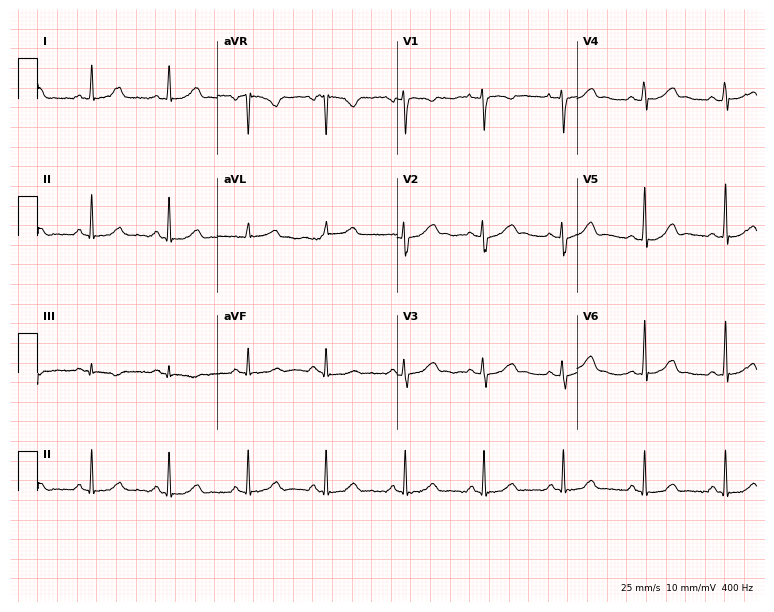
12-lead ECG from a woman, 27 years old. Recorded interpretation: within normal limits.